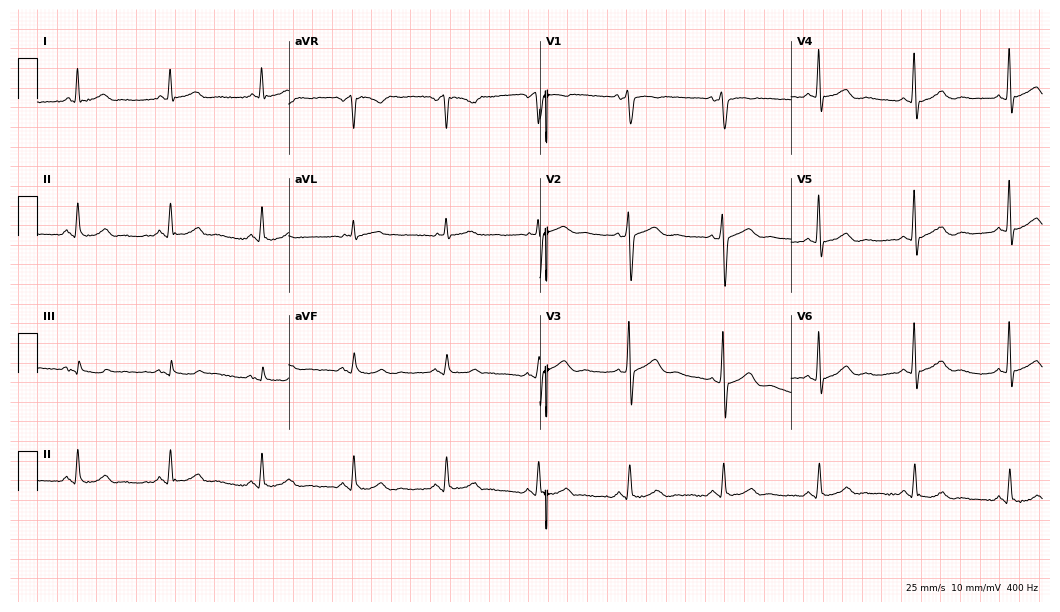
Standard 12-lead ECG recorded from a 66-year-old male (10.2-second recording at 400 Hz). None of these six findings is recorded: first-degree AV block, right bundle branch block (RBBB), left bundle branch block (LBBB), sinus bradycardia, atrial fibrillation (AF), sinus tachycardia. Only these six findings were labelled.